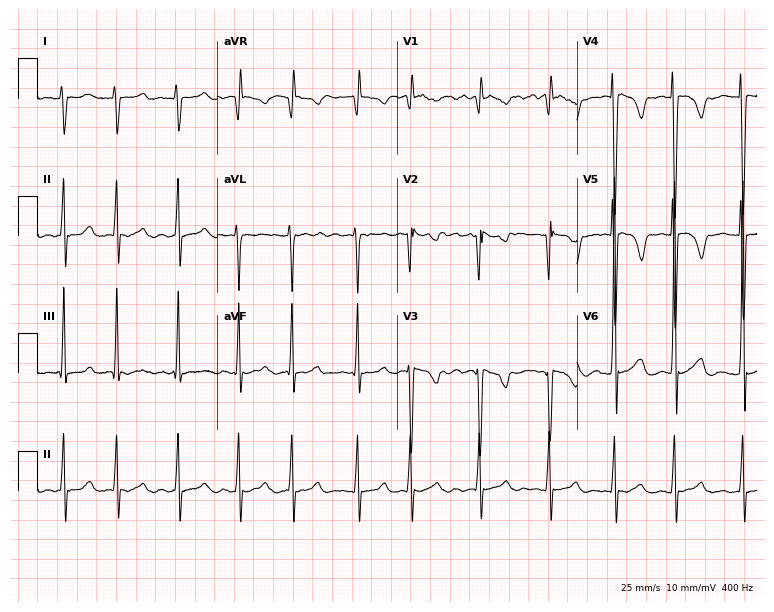
12-lead ECG from a 25-year-old woman. Findings include atrial fibrillation (AF).